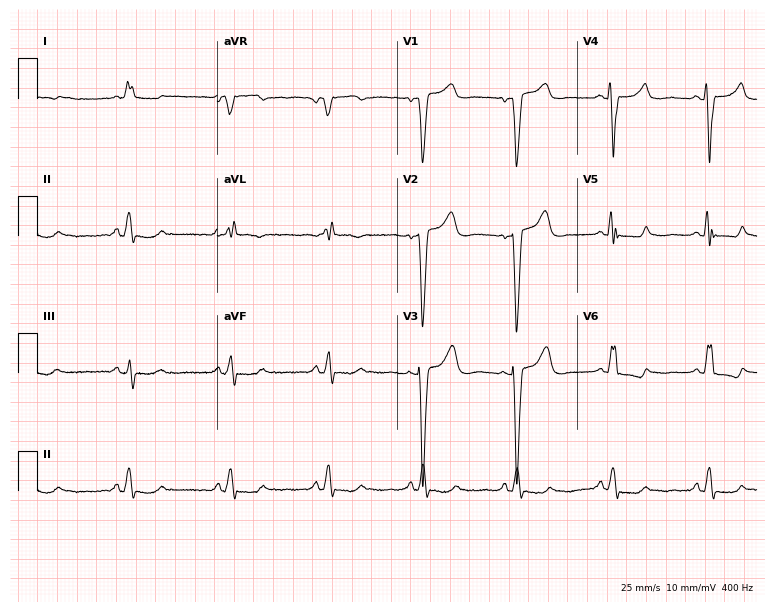
Standard 12-lead ECG recorded from a 71-year-old woman. None of these six findings is recorded: first-degree AV block, right bundle branch block, left bundle branch block, sinus bradycardia, atrial fibrillation, sinus tachycardia. Findings outside these six are not listed.